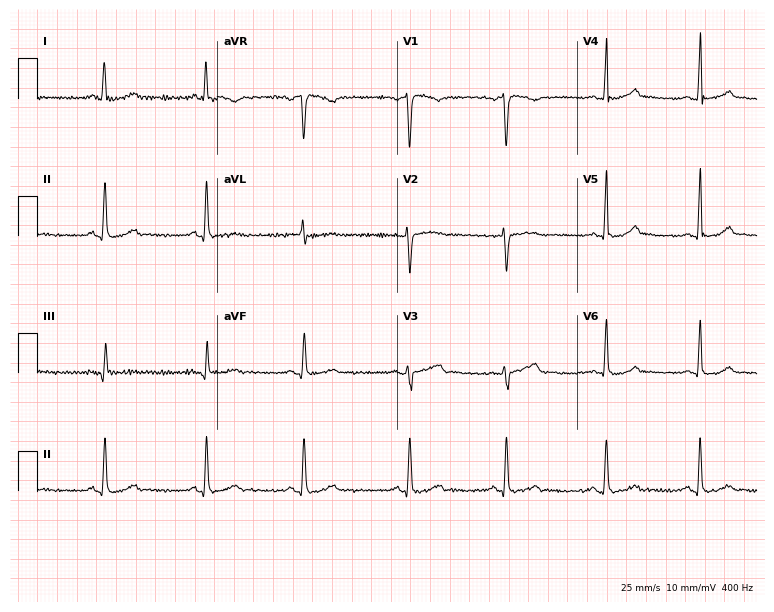
12-lead ECG from a 22-year-old female patient. No first-degree AV block, right bundle branch block, left bundle branch block, sinus bradycardia, atrial fibrillation or sinus tachycardia recorded for this tracing.